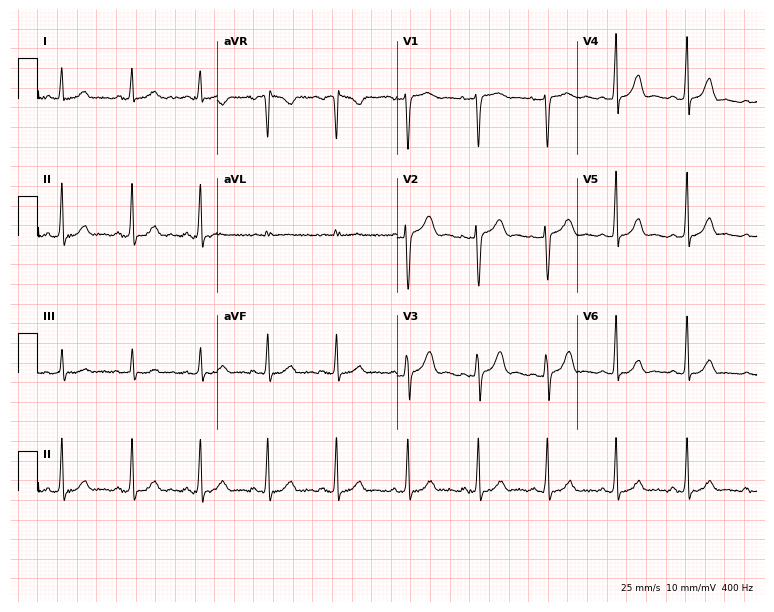
Electrocardiogram (7.3-second recording at 400 Hz), a woman, 28 years old. Overall reading on record: normal ECG.